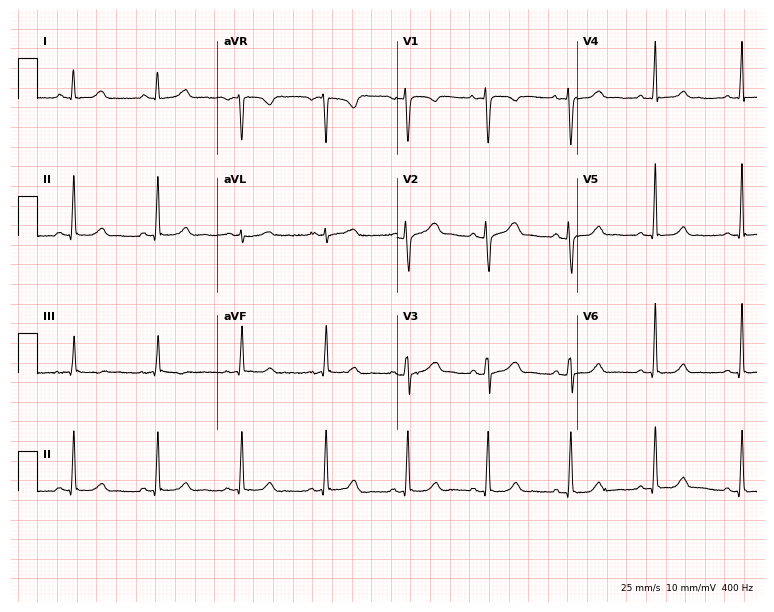
12-lead ECG from a female, 36 years old (7.3-second recording at 400 Hz). No first-degree AV block, right bundle branch block (RBBB), left bundle branch block (LBBB), sinus bradycardia, atrial fibrillation (AF) or sinus tachycardia recorded for this tracing.